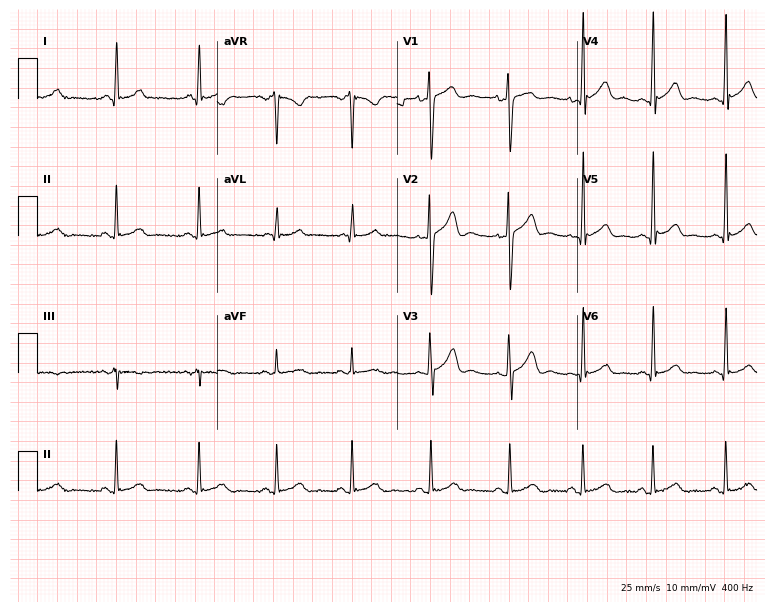
Electrocardiogram (7.3-second recording at 400 Hz), a man, 18 years old. Overall reading on record: normal ECG.